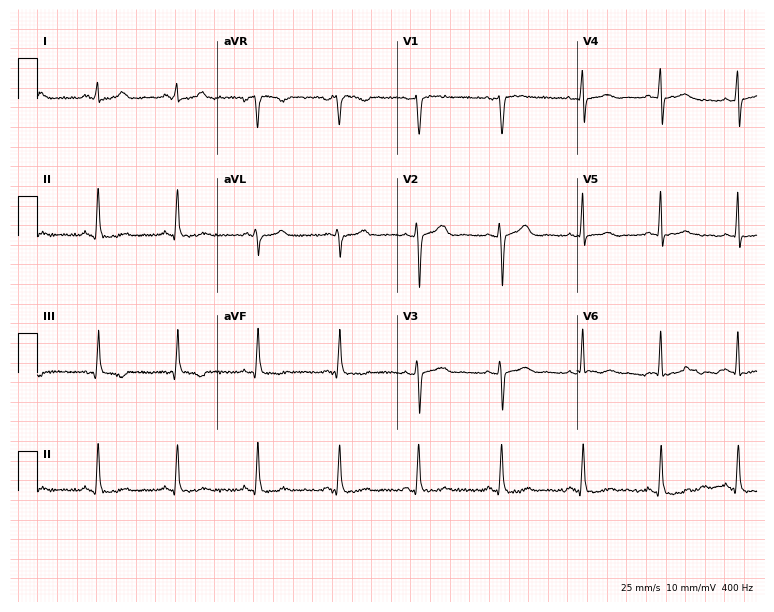
Electrocardiogram, a 40-year-old female. Of the six screened findings (first-degree AV block, right bundle branch block (RBBB), left bundle branch block (LBBB), sinus bradycardia, atrial fibrillation (AF), sinus tachycardia), none is recorded.